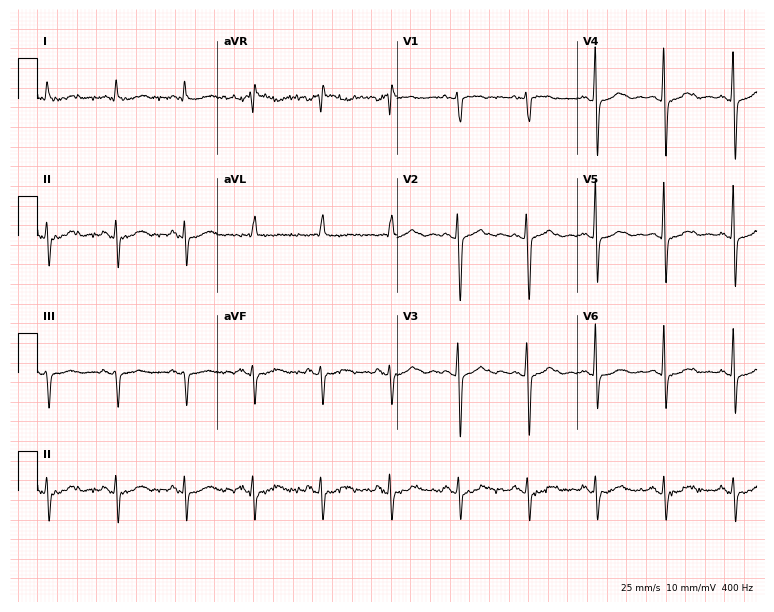
12-lead ECG (7.3-second recording at 400 Hz) from a female patient, 65 years old. Screened for six findings — first-degree AV block, right bundle branch block (RBBB), left bundle branch block (LBBB), sinus bradycardia, atrial fibrillation (AF), sinus tachycardia — none is recorded.